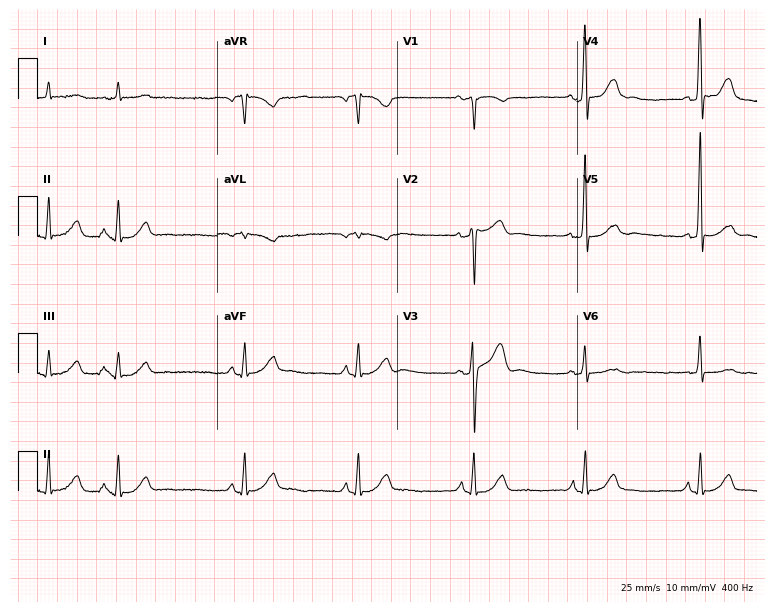
Electrocardiogram (7.3-second recording at 400 Hz), an 84-year-old male patient. Of the six screened findings (first-degree AV block, right bundle branch block (RBBB), left bundle branch block (LBBB), sinus bradycardia, atrial fibrillation (AF), sinus tachycardia), none is recorded.